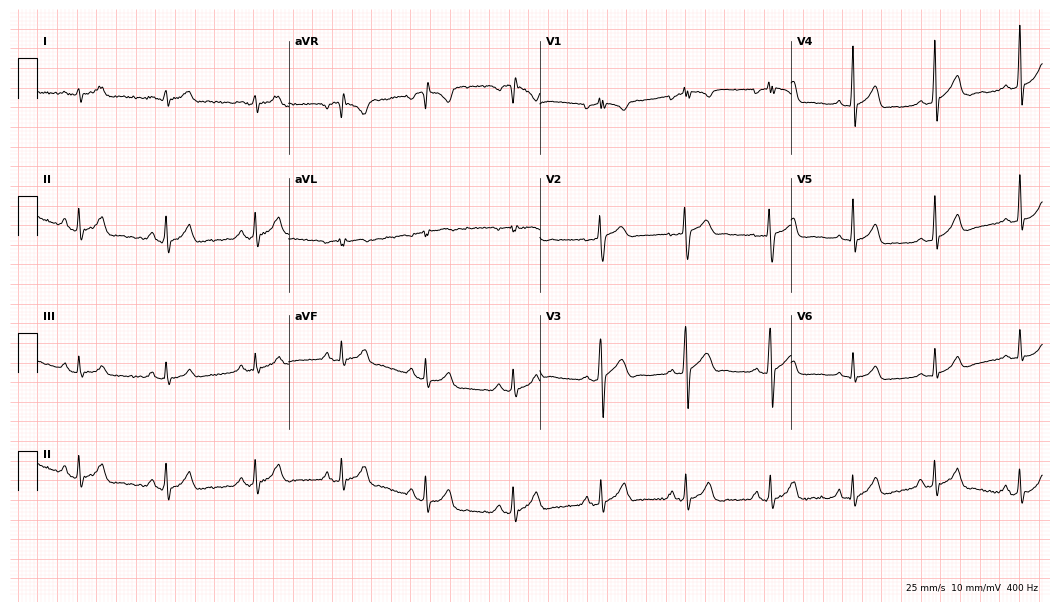
Resting 12-lead electrocardiogram. Patient: a 22-year-old female. Read as a normal ECG.